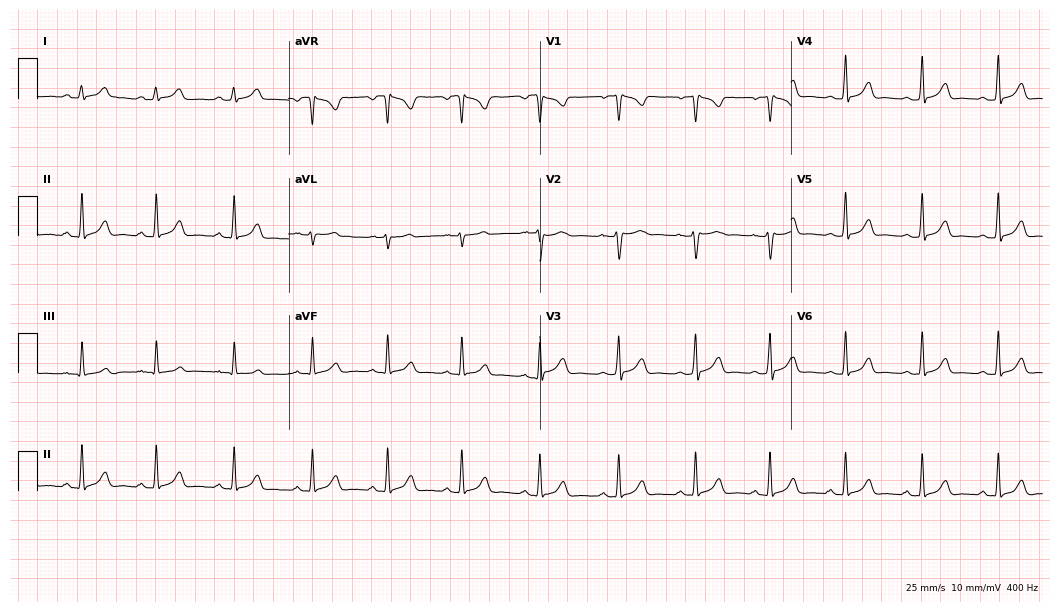
12-lead ECG from a 23-year-old female. Screened for six findings — first-degree AV block, right bundle branch block, left bundle branch block, sinus bradycardia, atrial fibrillation, sinus tachycardia — none is recorded. Findings outside these six are not listed.